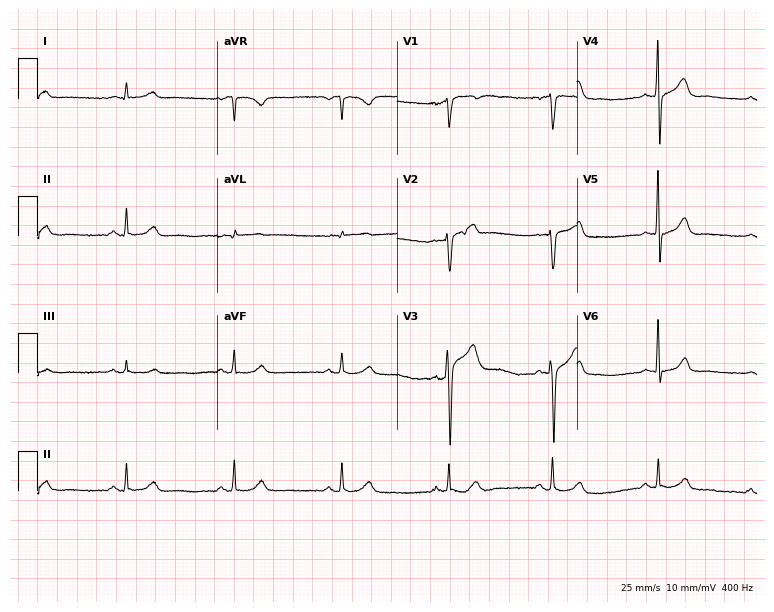
Resting 12-lead electrocardiogram (7.3-second recording at 400 Hz). Patient: a 49-year-old man. Read as a normal ECG.